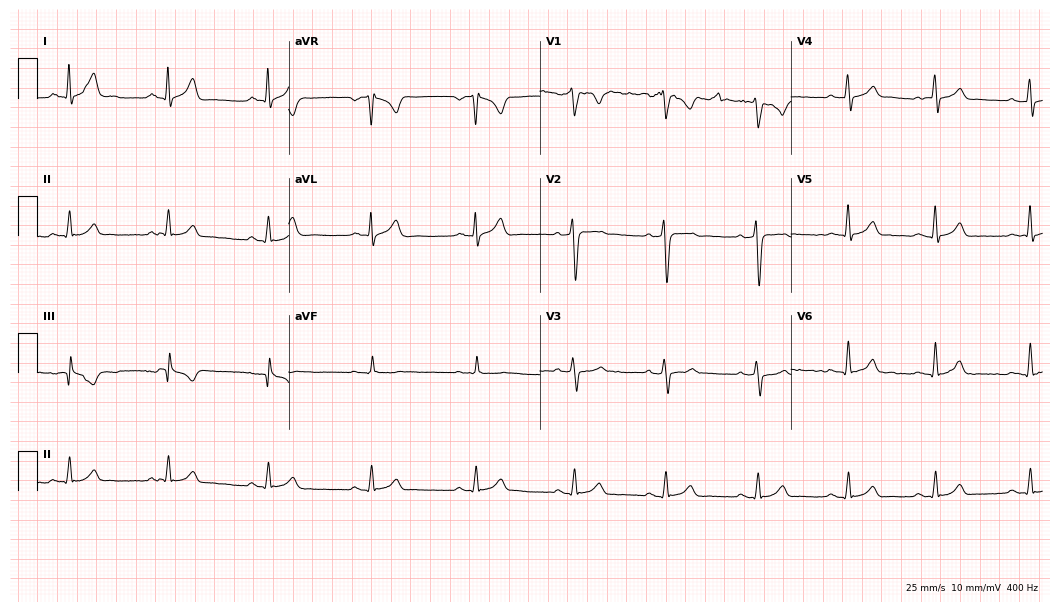
12-lead ECG from a male patient, 32 years old. Screened for six findings — first-degree AV block, right bundle branch block, left bundle branch block, sinus bradycardia, atrial fibrillation, sinus tachycardia — none is recorded. Findings outside these six are not listed.